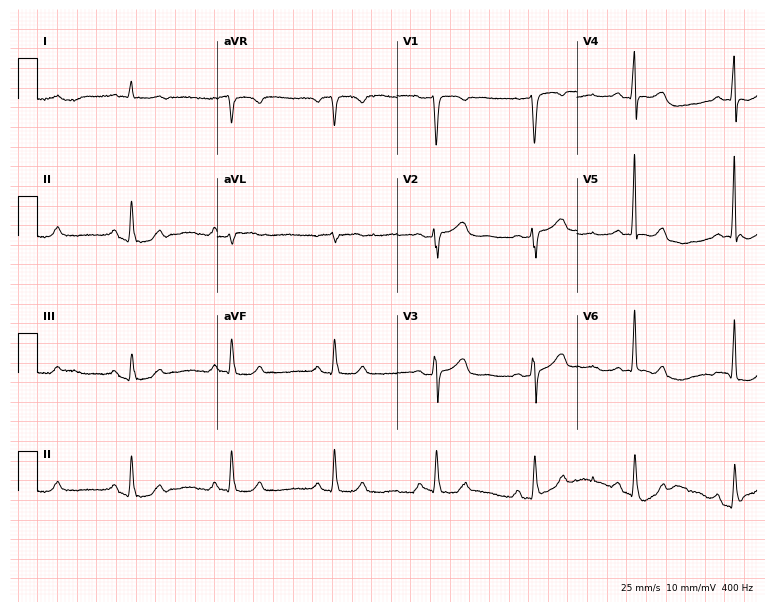
Electrocardiogram (7.3-second recording at 400 Hz), a female patient, 58 years old. Of the six screened findings (first-degree AV block, right bundle branch block, left bundle branch block, sinus bradycardia, atrial fibrillation, sinus tachycardia), none is recorded. Only these six findings were labelled.